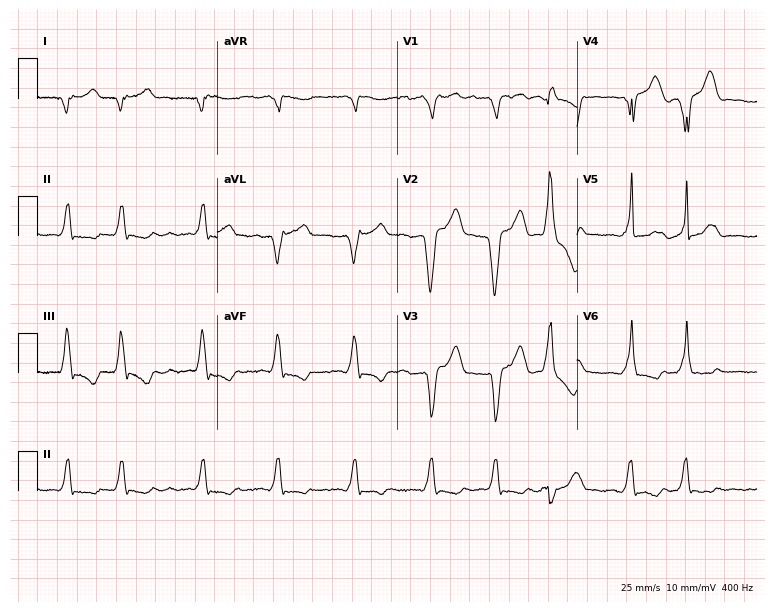
Standard 12-lead ECG recorded from an 80-year-old female. The tracing shows atrial fibrillation.